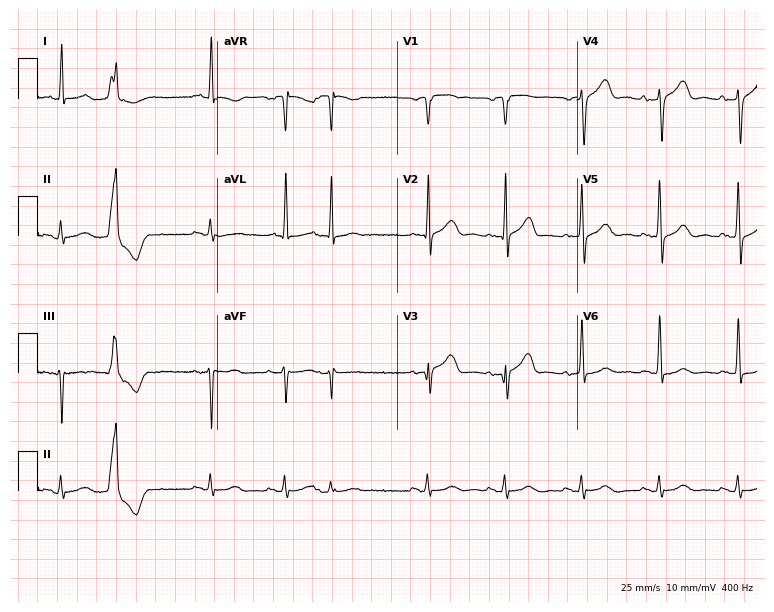
12-lead ECG (7.3-second recording at 400 Hz) from a male, 77 years old. Screened for six findings — first-degree AV block, right bundle branch block, left bundle branch block, sinus bradycardia, atrial fibrillation, sinus tachycardia — none is recorded.